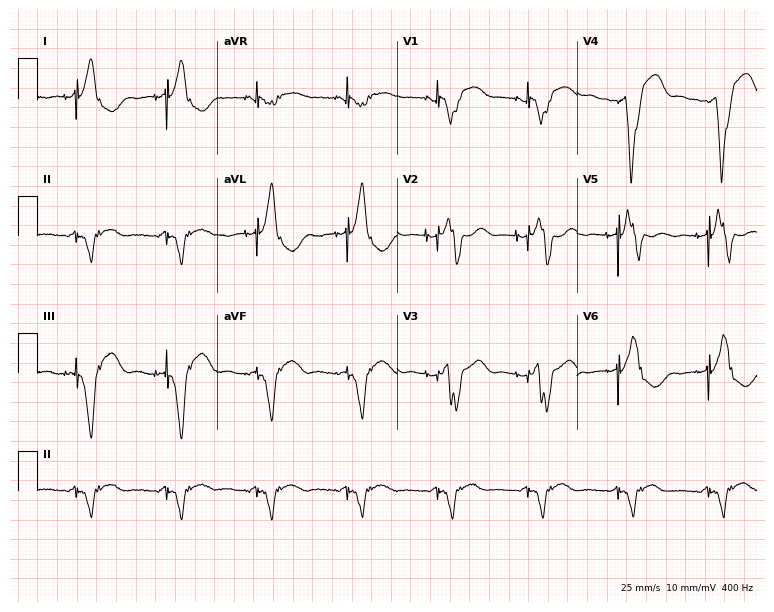
12-lead ECG from a 49-year-old female (7.3-second recording at 400 Hz). No first-degree AV block, right bundle branch block, left bundle branch block, sinus bradycardia, atrial fibrillation or sinus tachycardia recorded for this tracing.